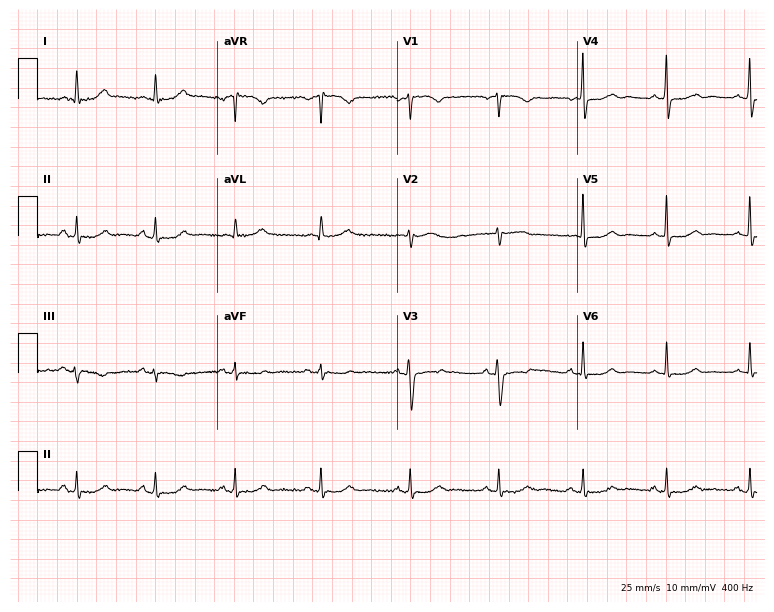
Standard 12-lead ECG recorded from a 40-year-old woman (7.3-second recording at 400 Hz). None of these six findings is recorded: first-degree AV block, right bundle branch block (RBBB), left bundle branch block (LBBB), sinus bradycardia, atrial fibrillation (AF), sinus tachycardia.